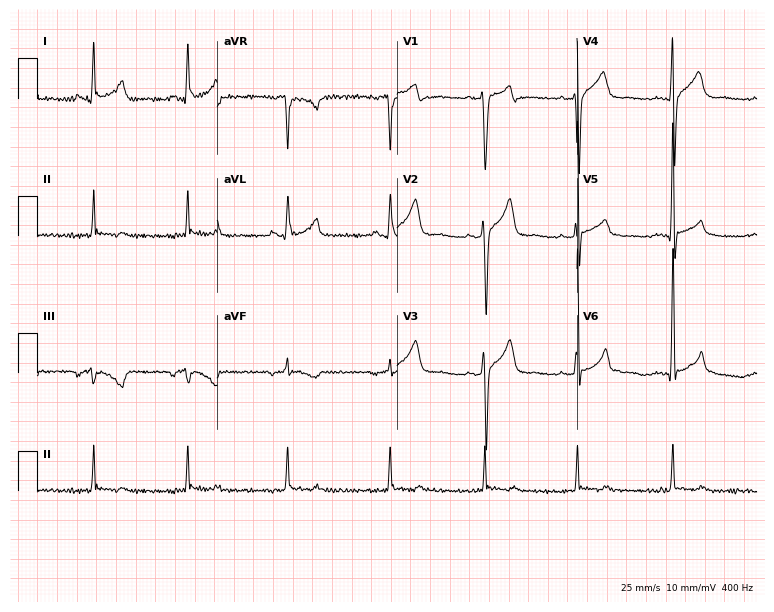
Standard 12-lead ECG recorded from a man, 27 years old. None of these six findings is recorded: first-degree AV block, right bundle branch block, left bundle branch block, sinus bradycardia, atrial fibrillation, sinus tachycardia. Findings outside these six are not listed.